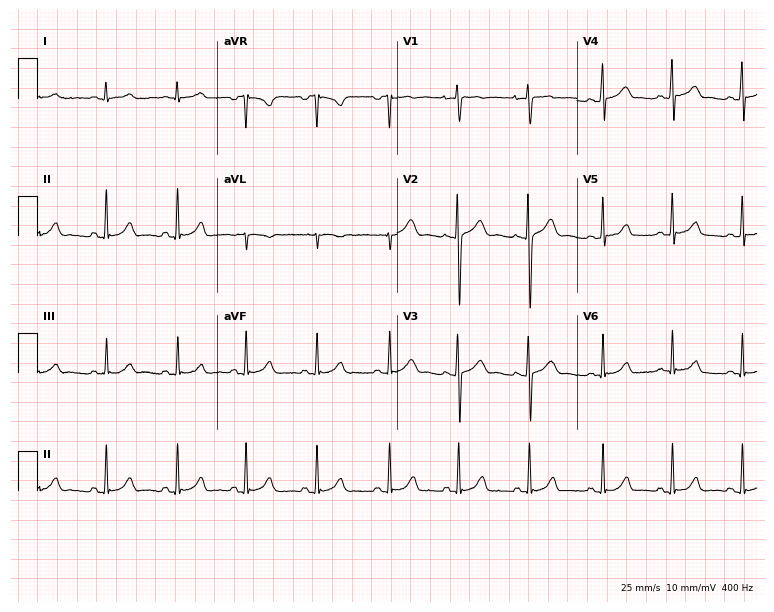
12-lead ECG from a female patient, 19 years old (7.3-second recording at 400 Hz). Recorded interpretation: within normal limits.